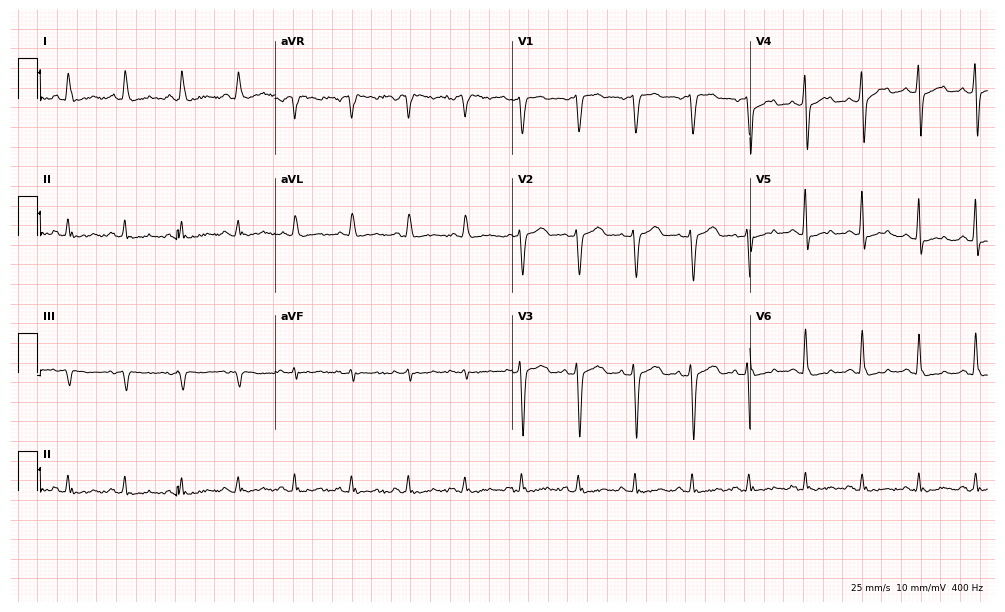
ECG (9.7-second recording at 400 Hz) — a man, 58 years old. Findings include sinus tachycardia (a sinus rate of 100 beats per minute or more).